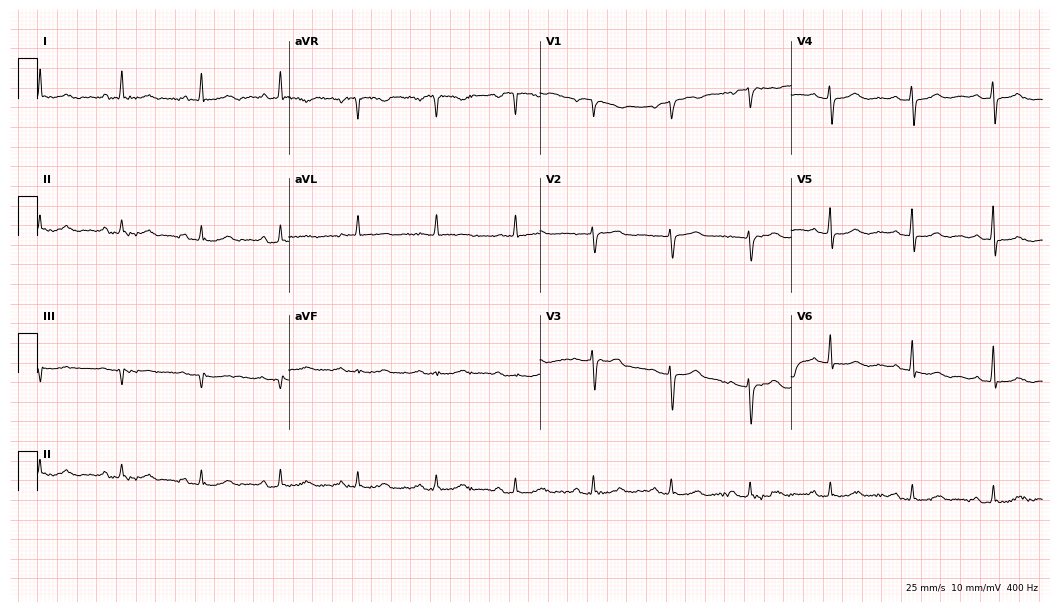
ECG (10.2-second recording at 400 Hz) — a 74-year-old woman. Labelled as a normal ECG.